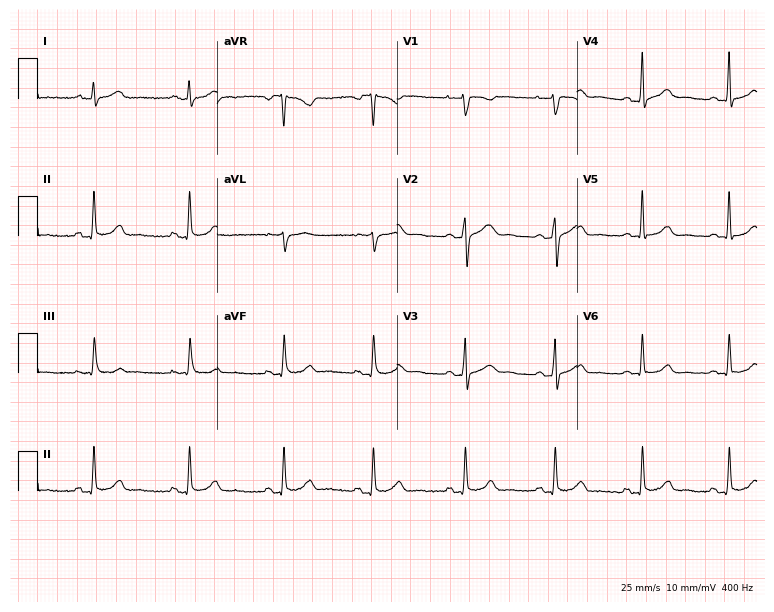
Standard 12-lead ECG recorded from a female patient, 41 years old. Read as a normal ECG.